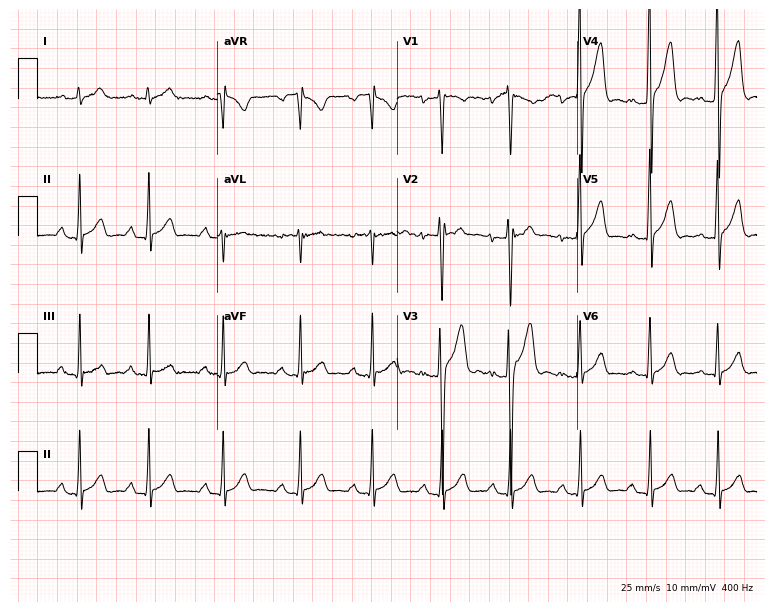
12-lead ECG (7.3-second recording at 400 Hz) from an 18-year-old male. Screened for six findings — first-degree AV block, right bundle branch block (RBBB), left bundle branch block (LBBB), sinus bradycardia, atrial fibrillation (AF), sinus tachycardia — none is recorded. Findings outside these six are not listed.